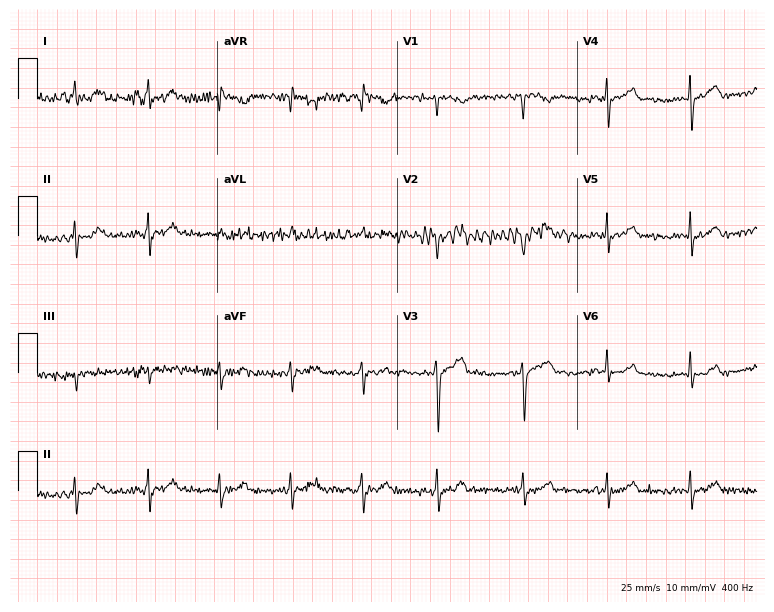
12-lead ECG from a female patient, 27 years old. Screened for six findings — first-degree AV block, right bundle branch block (RBBB), left bundle branch block (LBBB), sinus bradycardia, atrial fibrillation (AF), sinus tachycardia — none is recorded.